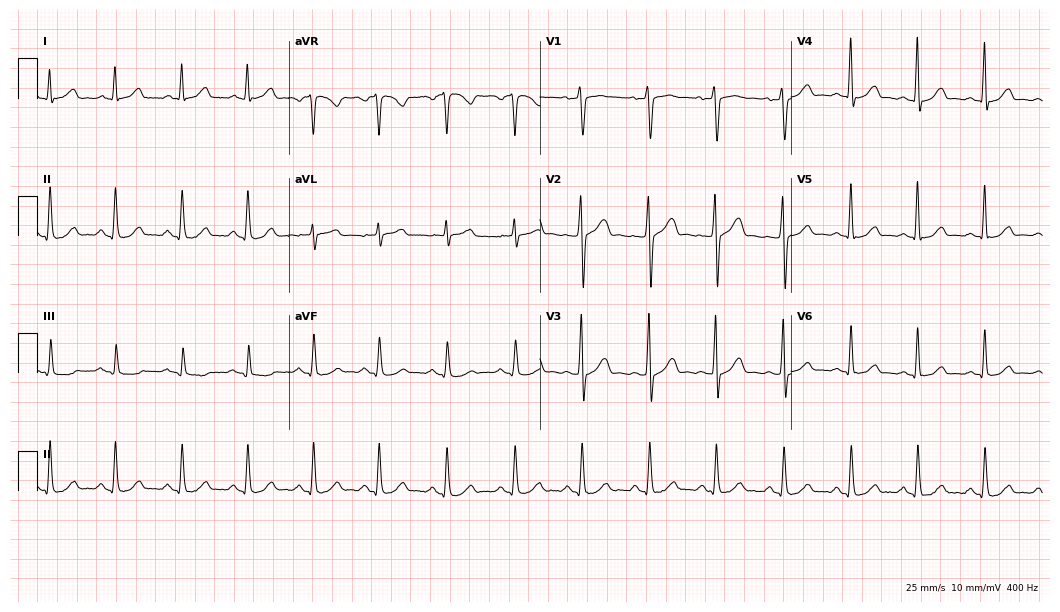
12-lead ECG from a male patient, 55 years old. Recorded interpretation: within normal limits.